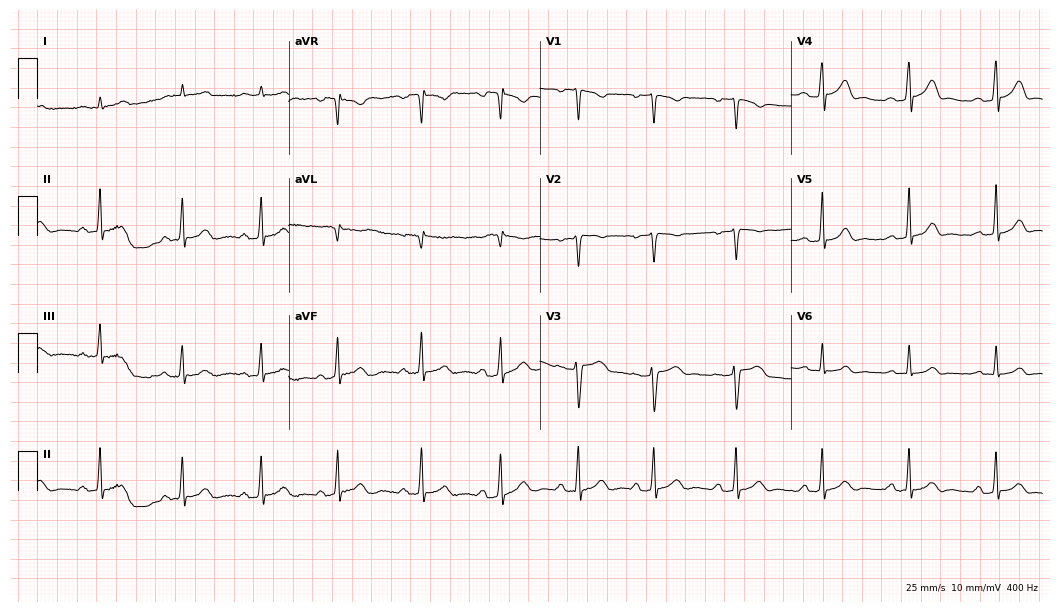
Resting 12-lead electrocardiogram. Patient: a woman, 29 years old. Read as a normal ECG.